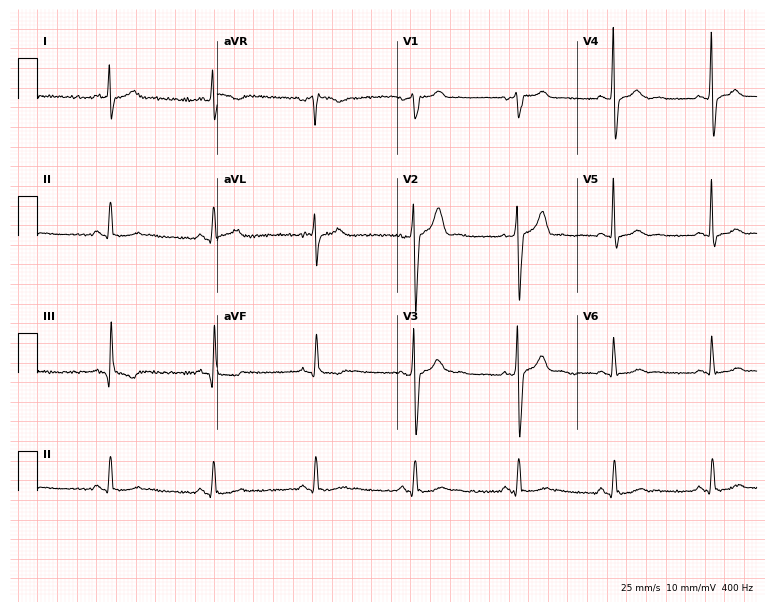
Electrocardiogram, a 44-year-old male. Overall reading on record: normal ECG.